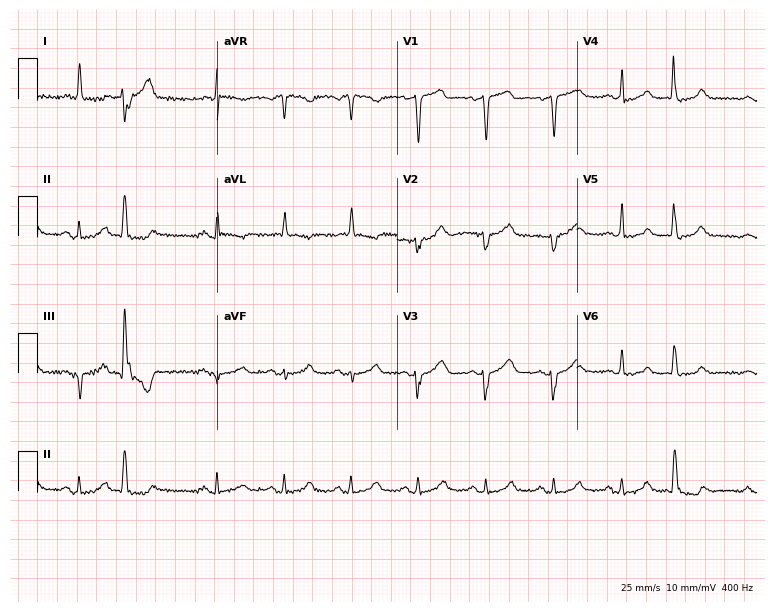
ECG (7.3-second recording at 400 Hz) — a 65-year-old woman. Labelled as a normal ECG.